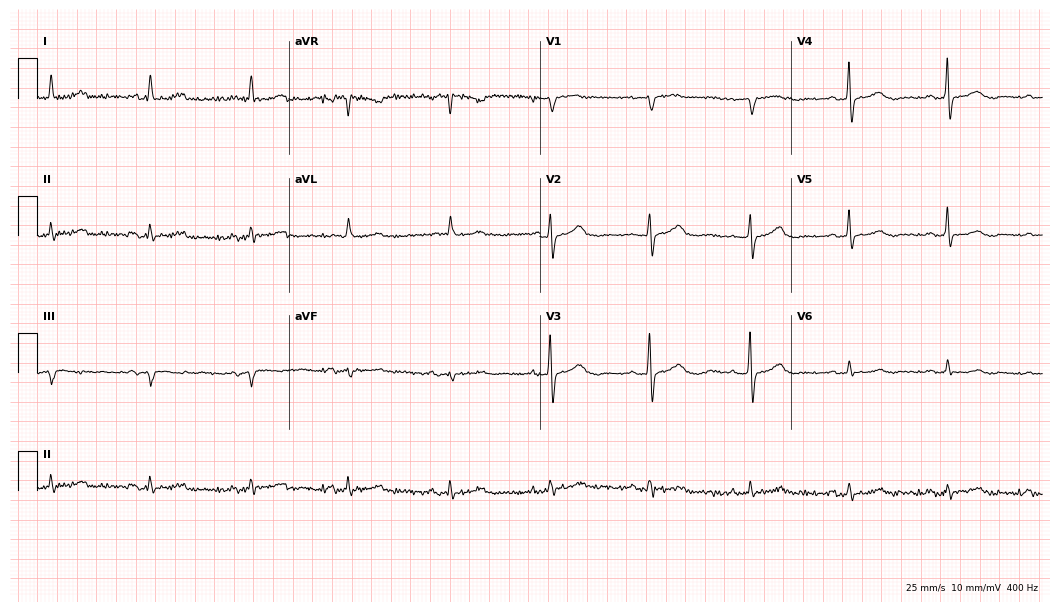
Electrocardiogram, a female, 84 years old. Of the six screened findings (first-degree AV block, right bundle branch block, left bundle branch block, sinus bradycardia, atrial fibrillation, sinus tachycardia), none is recorded.